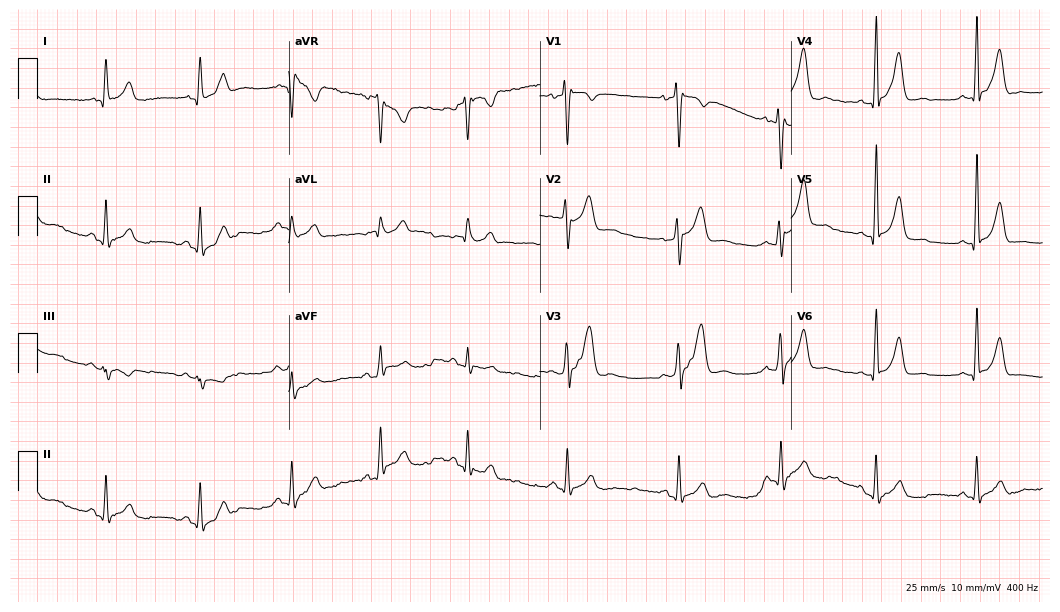
Standard 12-lead ECG recorded from a male, 33 years old (10.2-second recording at 400 Hz). None of these six findings is recorded: first-degree AV block, right bundle branch block, left bundle branch block, sinus bradycardia, atrial fibrillation, sinus tachycardia. Only these six findings were labelled.